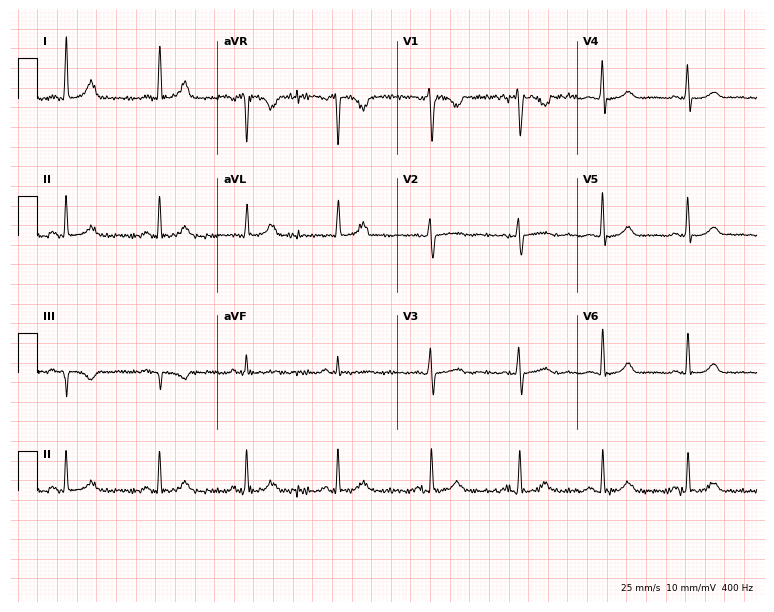
12-lead ECG (7.3-second recording at 400 Hz) from a female patient, 42 years old. Labelled as a normal ECG.